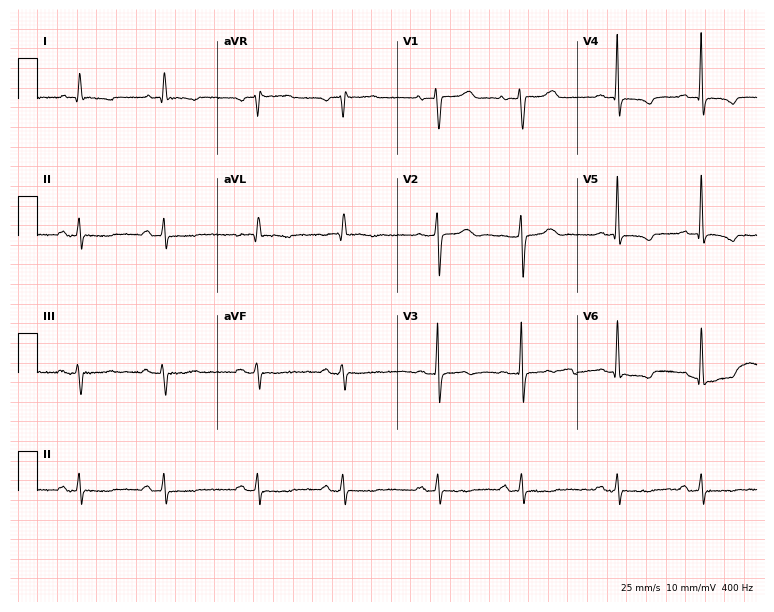
12-lead ECG (7.3-second recording at 400 Hz) from a woman, 80 years old. Screened for six findings — first-degree AV block, right bundle branch block (RBBB), left bundle branch block (LBBB), sinus bradycardia, atrial fibrillation (AF), sinus tachycardia — none is recorded.